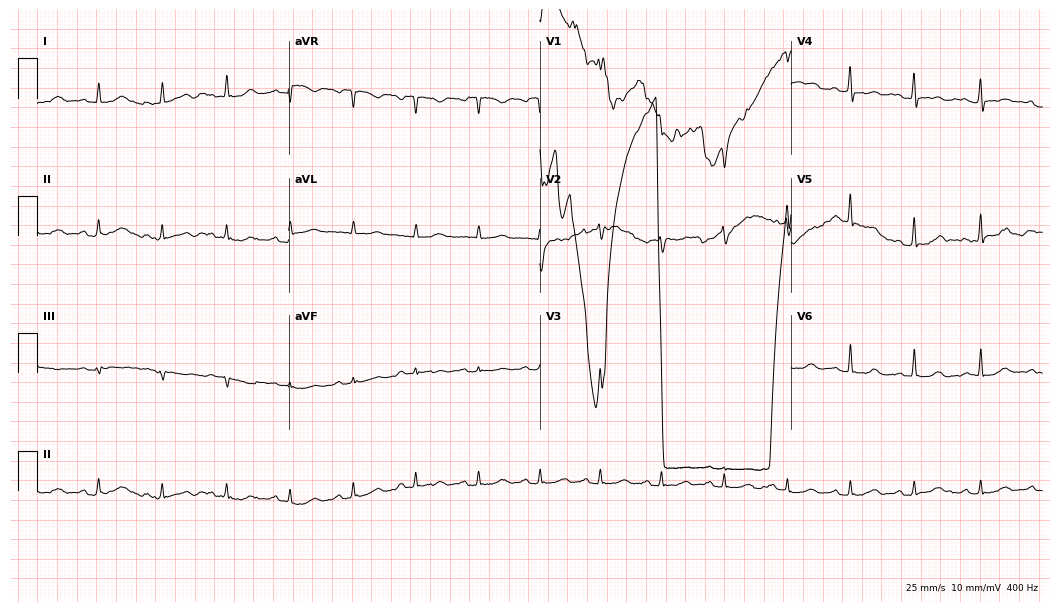
12-lead ECG from a 47-year-old female. No first-degree AV block, right bundle branch block, left bundle branch block, sinus bradycardia, atrial fibrillation or sinus tachycardia recorded for this tracing.